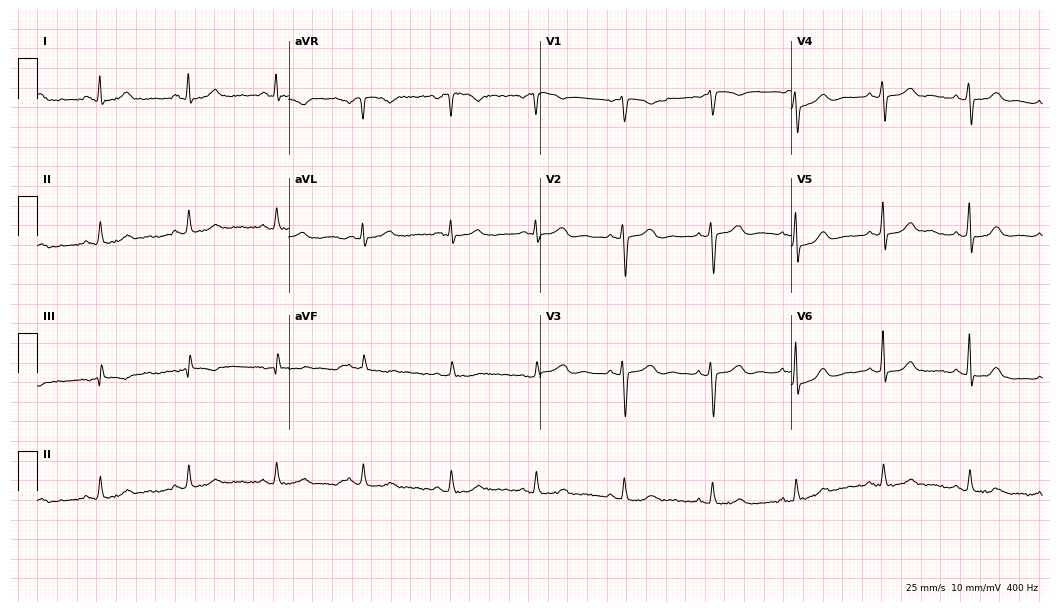
Standard 12-lead ECG recorded from a 46-year-old woman (10.2-second recording at 400 Hz). Read as a normal ECG.